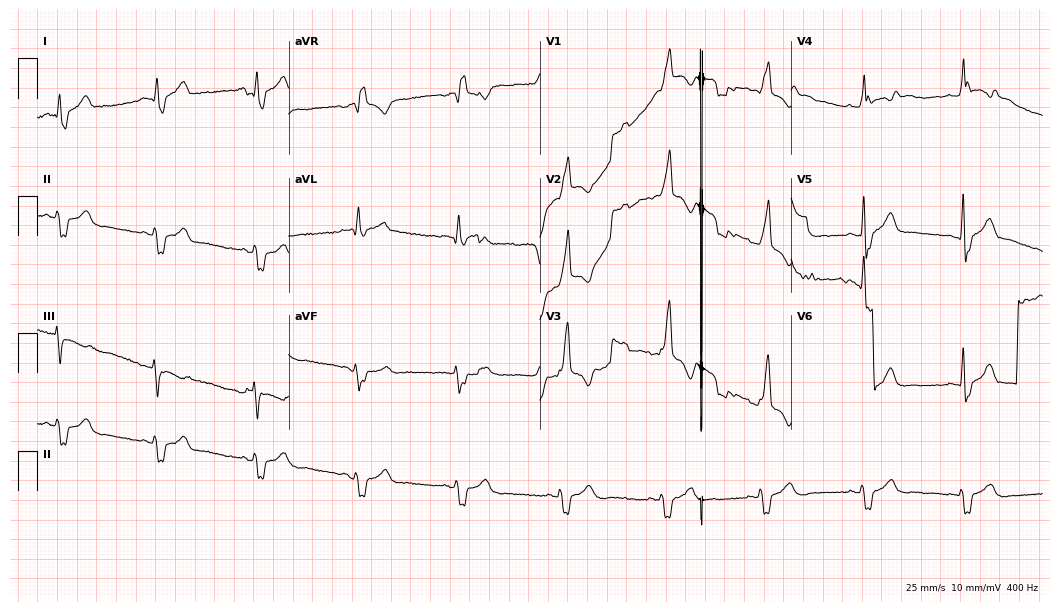
Standard 12-lead ECG recorded from a 46-year-old male. The tracing shows right bundle branch block (RBBB).